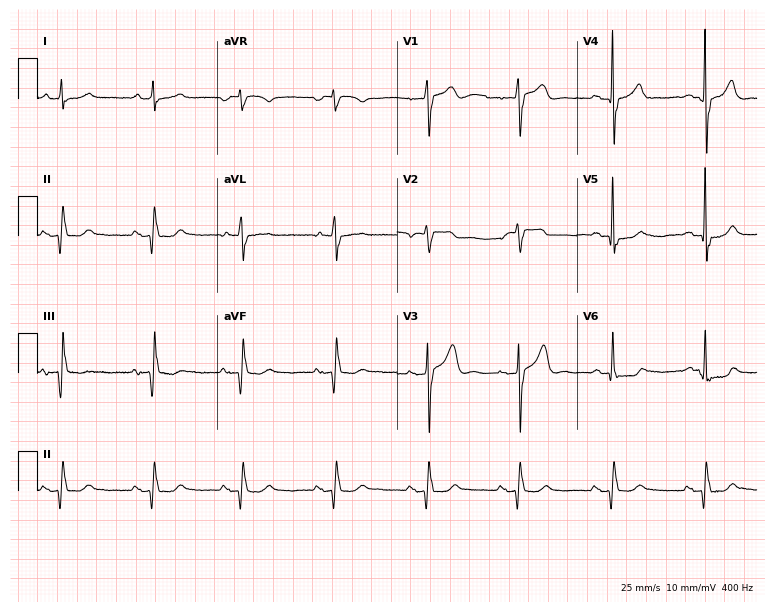
12-lead ECG from a 74-year-old male. Screened for six findings — first-degree AV block, right bundle branch block, left bundle branch block, sinus bradycardia, atrial fibrillation, sinus tachycardia — none is recorded. Only these six findings were labelled.